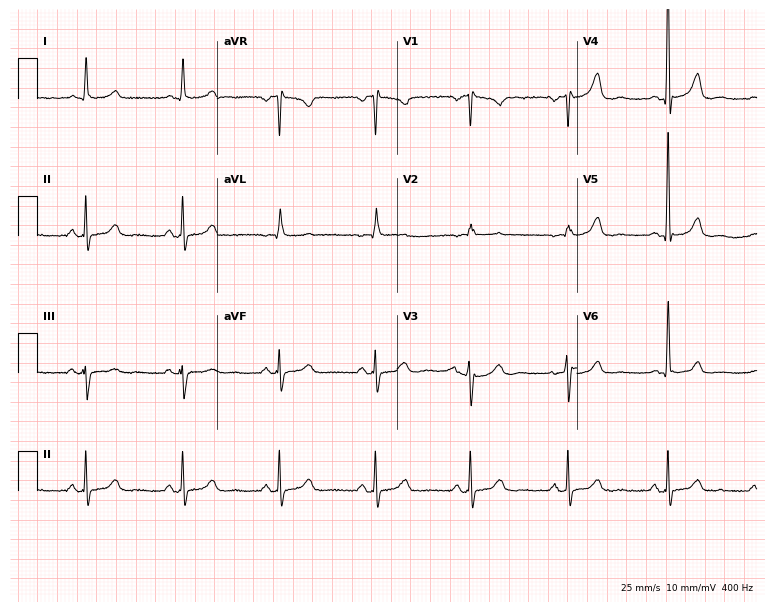
ECG — a 71-year-old female patient. Screened for six findings — first-degree AV block, right bundle branch block, left bundle branch block, sinus bradycardia, atrial fibrillation, sinus tachycardia — none is recorded.